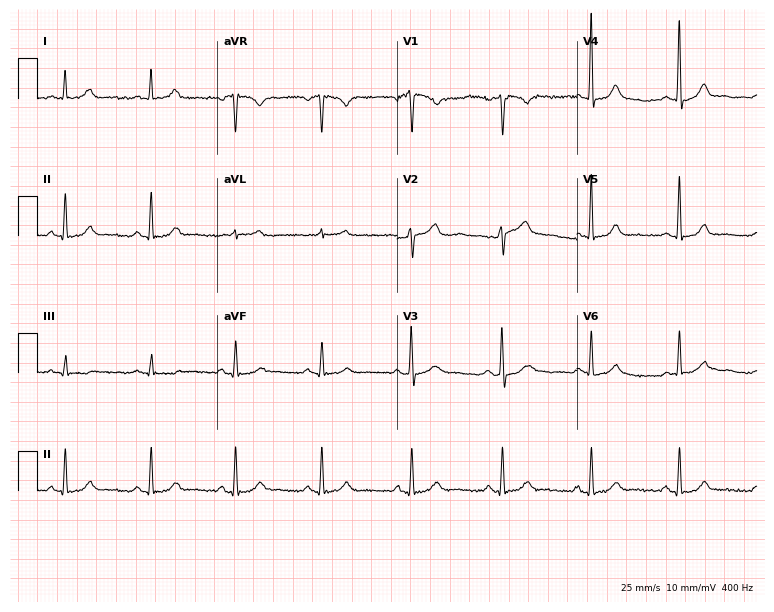
ECG — a female, 54 years old. Labelled as a normal ECG.